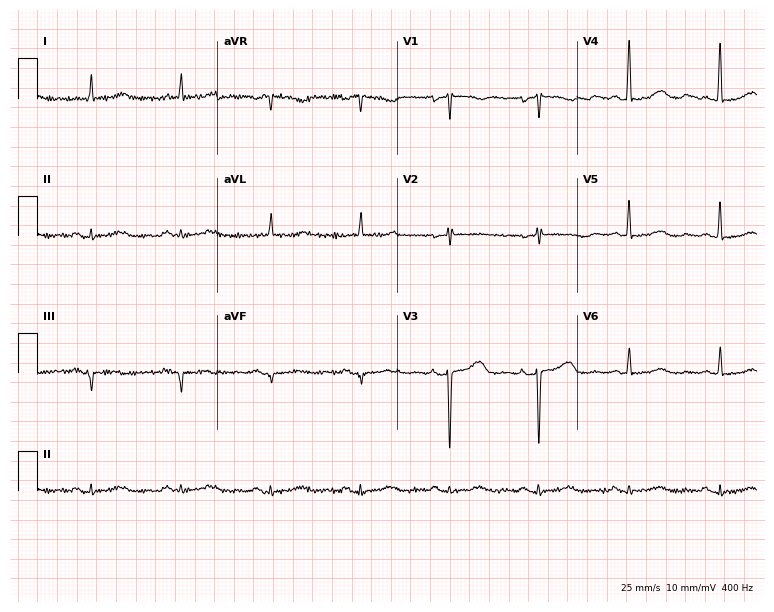
12-lead ECG from a 71-year-old female. No first-degree AV block, right bundle branch block (RBBB), left bundle branch block (LBBB), sinus bradycardia, atrial fibrillation (AF) or sinus tachycardia recorded for this tracing.